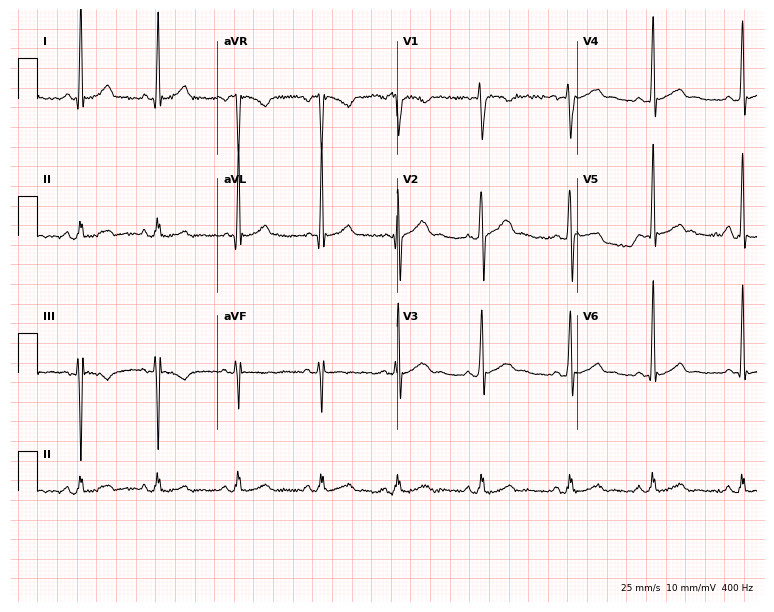
12-lead ECG from a man, 22 years old. Labelled as a normal ECG.